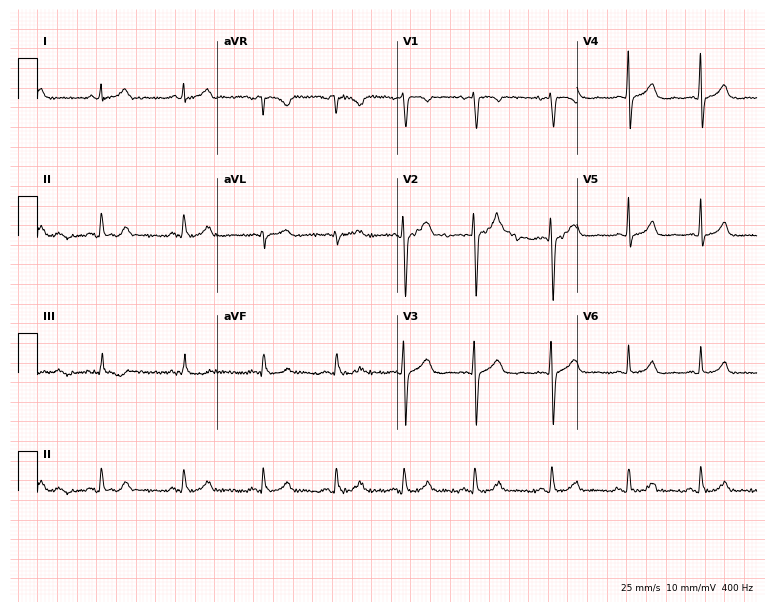
12-lead ECG from a 25-year-old female (7.3-second recording at 400 Hz). No first-degree AV block, right bundle branch block (RBBB), left bundle branch block (LBBB), sinus bradycardia, atrial fibrillation (AF) or sinus tachycardia recorded for this tracing. Findings outside these six are not listed.